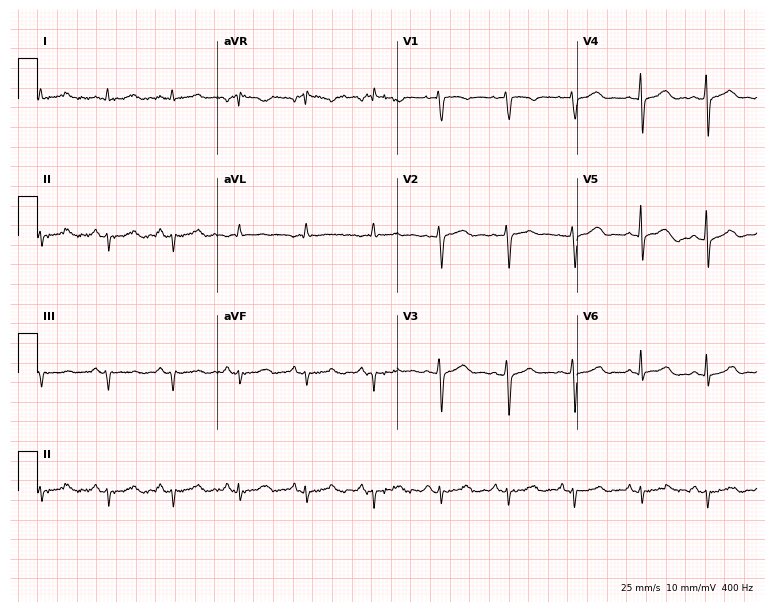
Electrocardiogram (7.3-second recording at 400 Hz), a female patient, 51 years old. Of the six screened findings (first-degree AV block, right bundle branch block, left bundle branch block, sinus bradycardia, atrial fibrillation, sinus tachycardia), none is recorded.